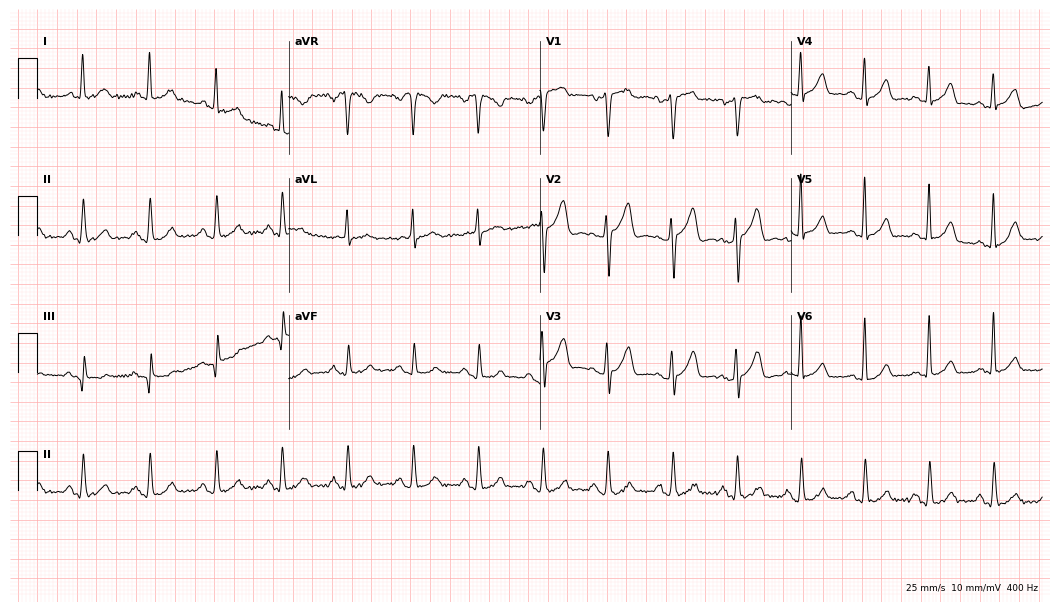
Electrocardiogram, a 47-year-old male. Overall reading on record: normal ECG.